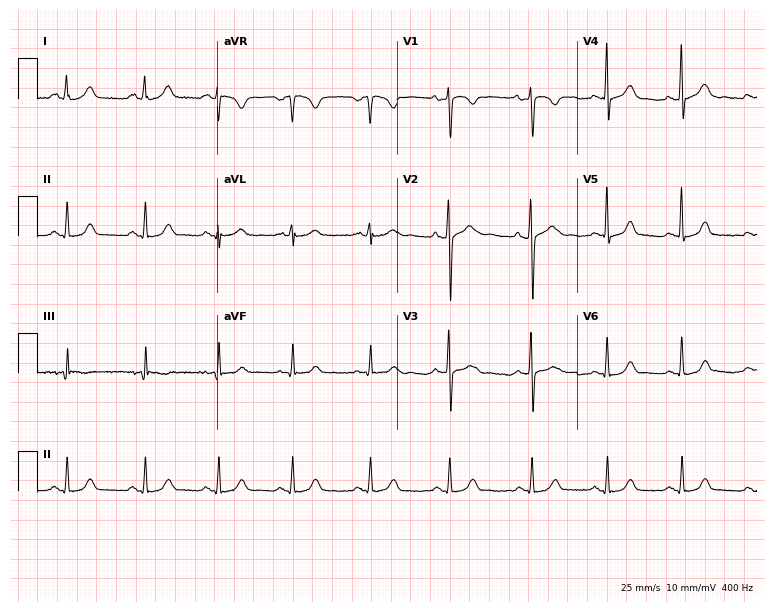
Electrocardiogram (7.3-second recording at 400 Hz), a 34-year-old female patient. Of the six screened findings (first-degree AV block, right bundle branch block, left bundle branch block, sinus bradycardia, atrial fibrillation, sinus tachycardia), none is recorded.